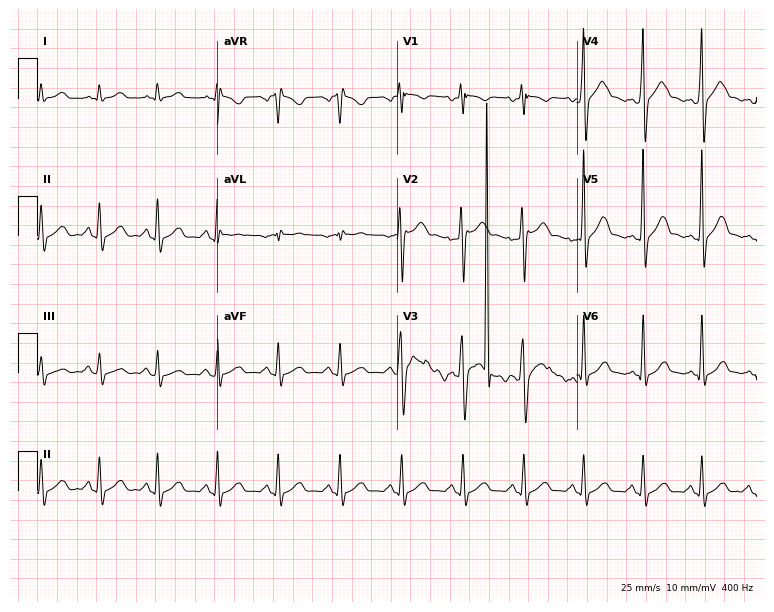
Standard 12-lead ECG recorded from a male patient, 36 years old. None of these six findings is recorded: first-degree AV block, right bundle branch block, left bundle branch block, sinus bradycardia, atrial fibrillation, sinus tachycardia. Findings outside these six are not listed.